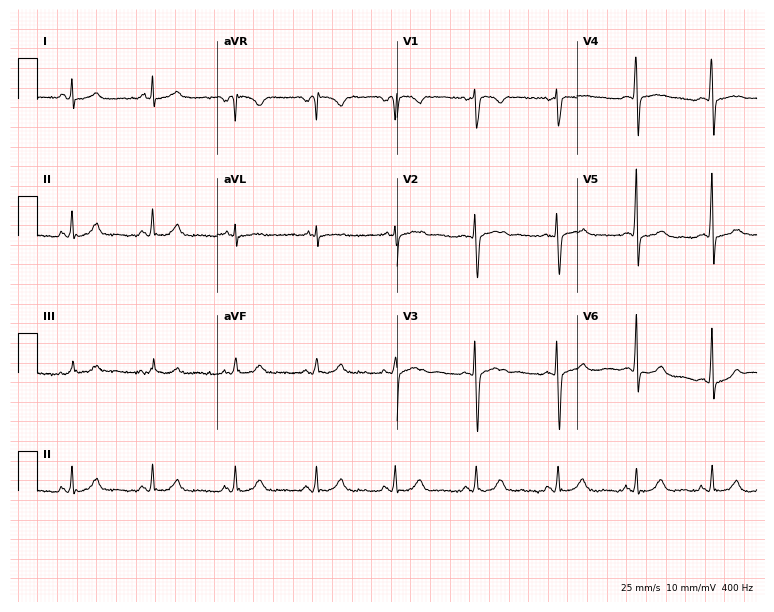
12-lead ECG (7.3-second recording at 400 Hz) from a female, 24 years old. Labelled as a normal ECG.